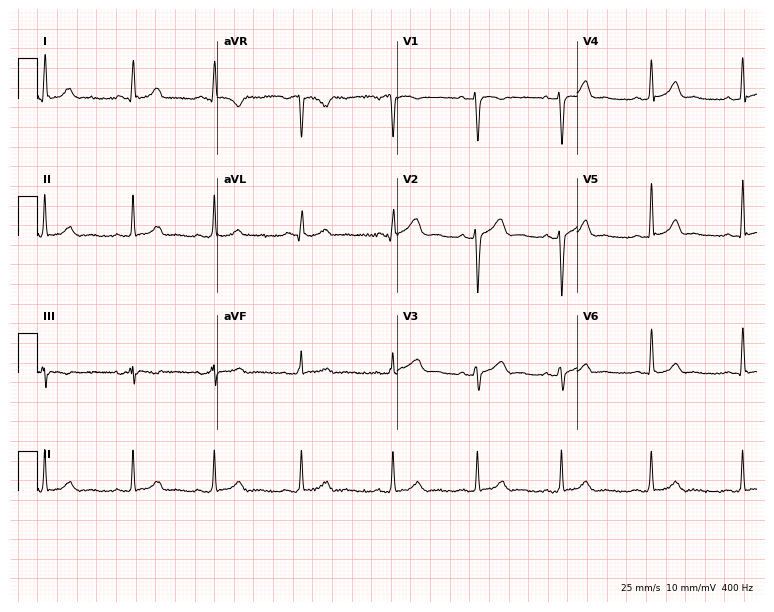
12-lead ECG from a woman, 32 years old. Recorded interpretation: within normal limits.